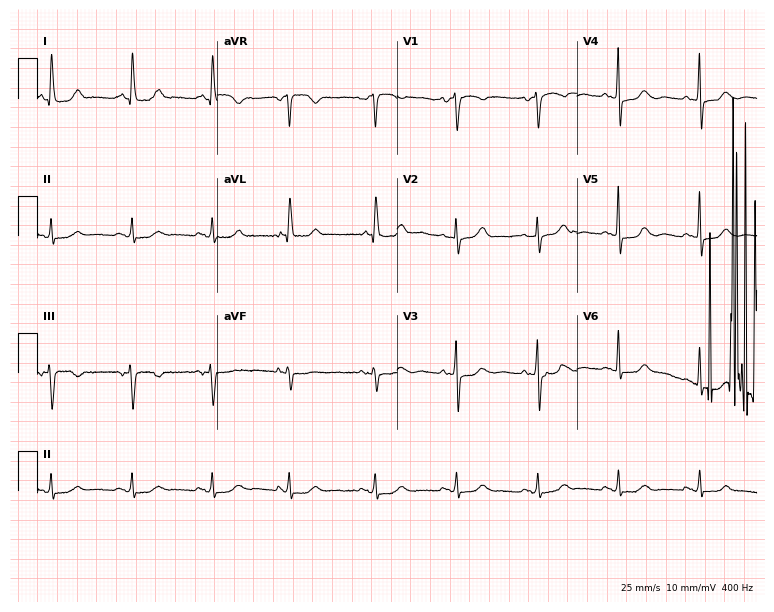
Electrocardiogram (7.3-second recording at 400 Hz), a woman, 76 years old. Overall reading on record: normal ECG.